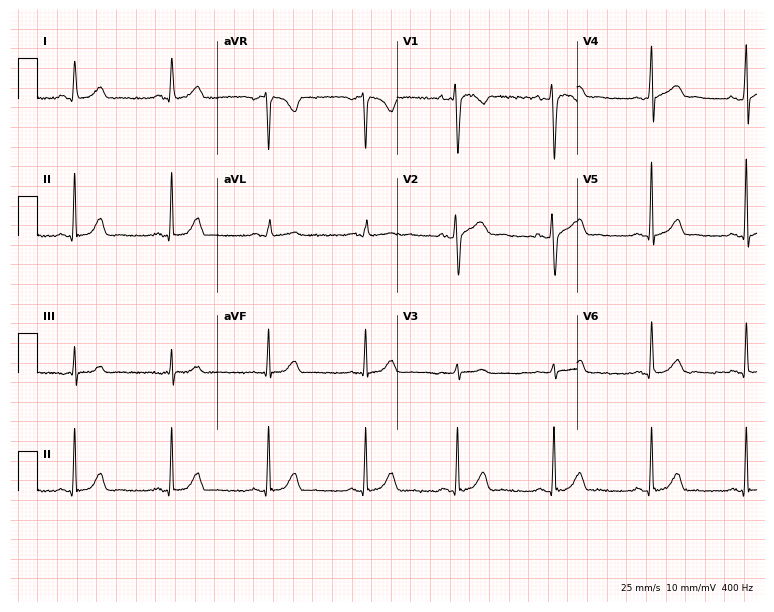
ECG (7.3-second recording at 400 Hz) — a 29-year-old female. Screened for six findings — first-degree AV block, right bundle branch block (RBBB), left bundle branch block (LBBB), sinus bradycardia, atrial fibrillation (AF), sinus tachycardia — none is recorded. Findings outside these six are not listed.